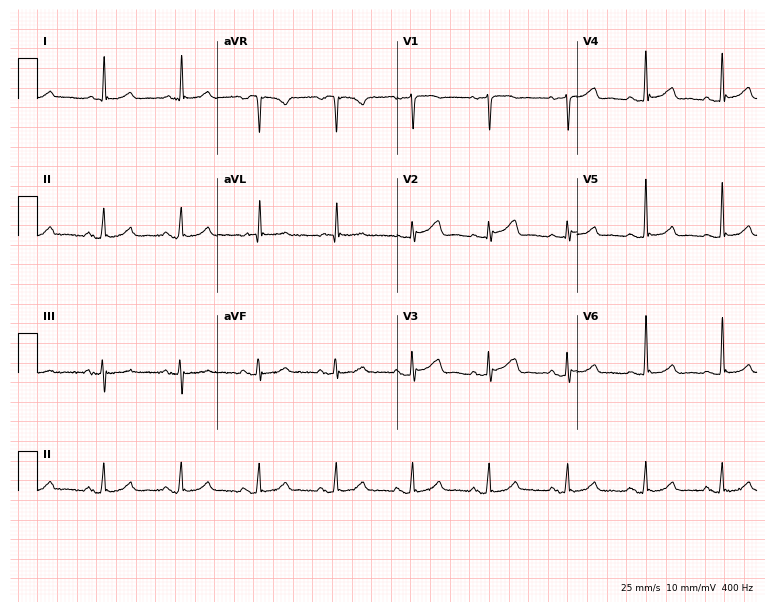
12-lead ECG (7.3-second recording at 400 Hz) from a female patient, 66 years old. Labelled as a normal ECG.